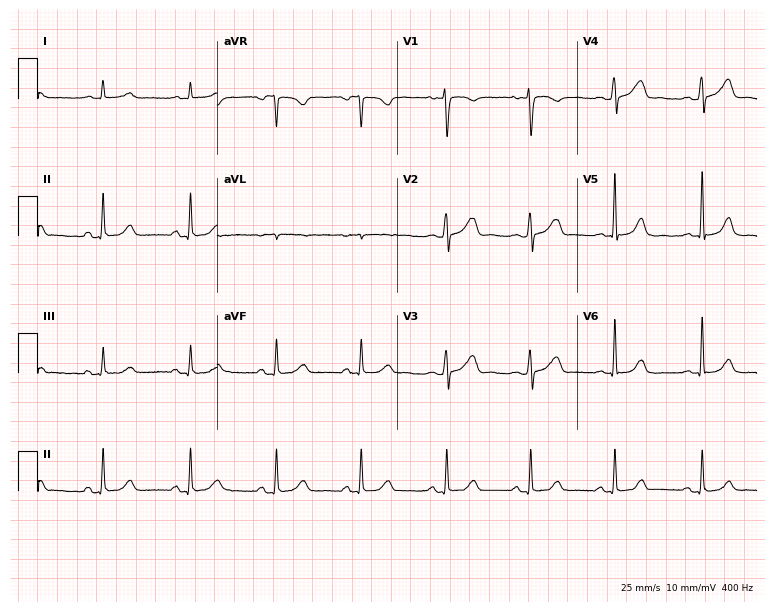
Electrocardiogram (7.3-second recording at 400 Hz), a woman, 44 years old. Overall reading on record: normal ECG.